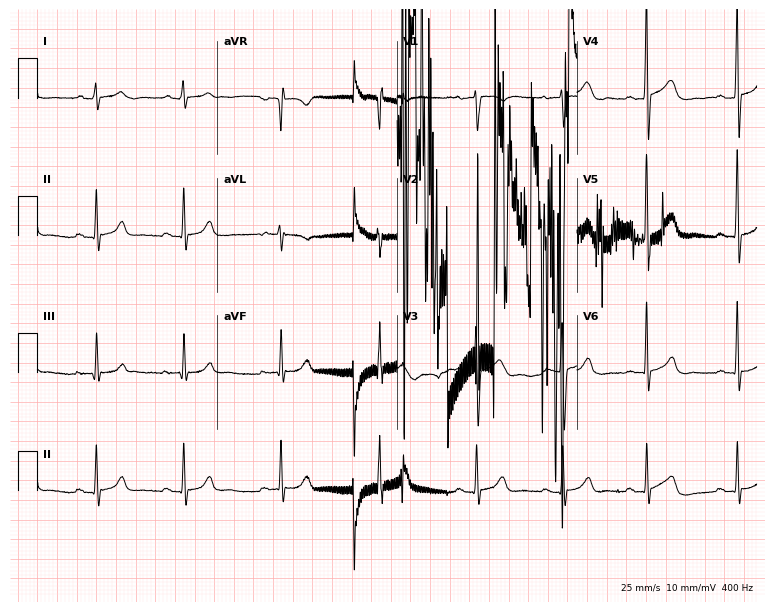
12-lead ECG (7.3-second recording at 400 Hz) from a 28-year-old male. Labelled as a normal ECG.